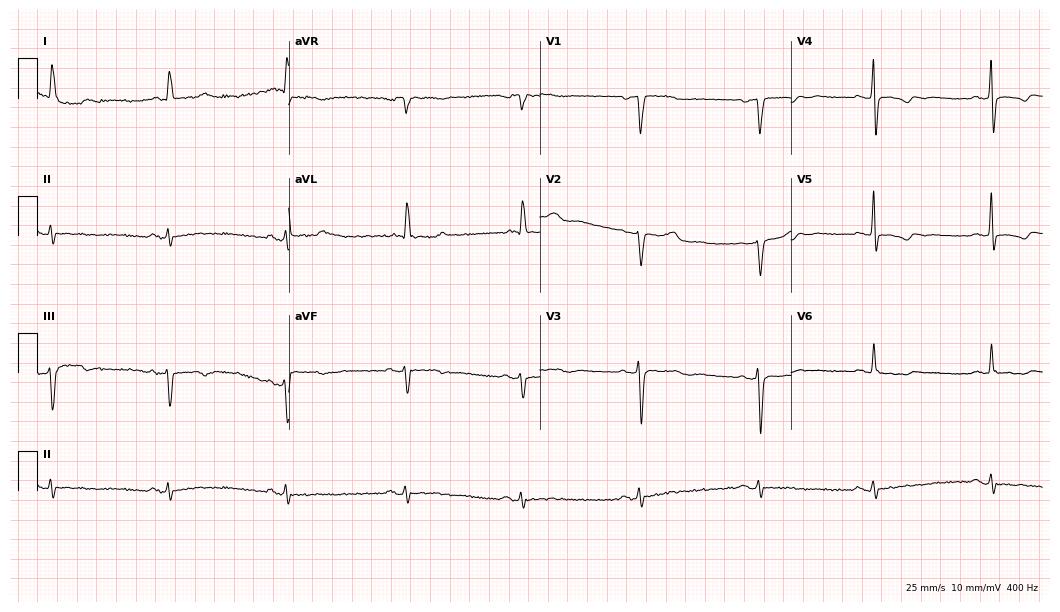
Resting 12-lead electrocardiogram. Patient: a 62-year-old woman. The tracing shows sinus bradycardia (a sinus rate of 50 beats per minute or less).